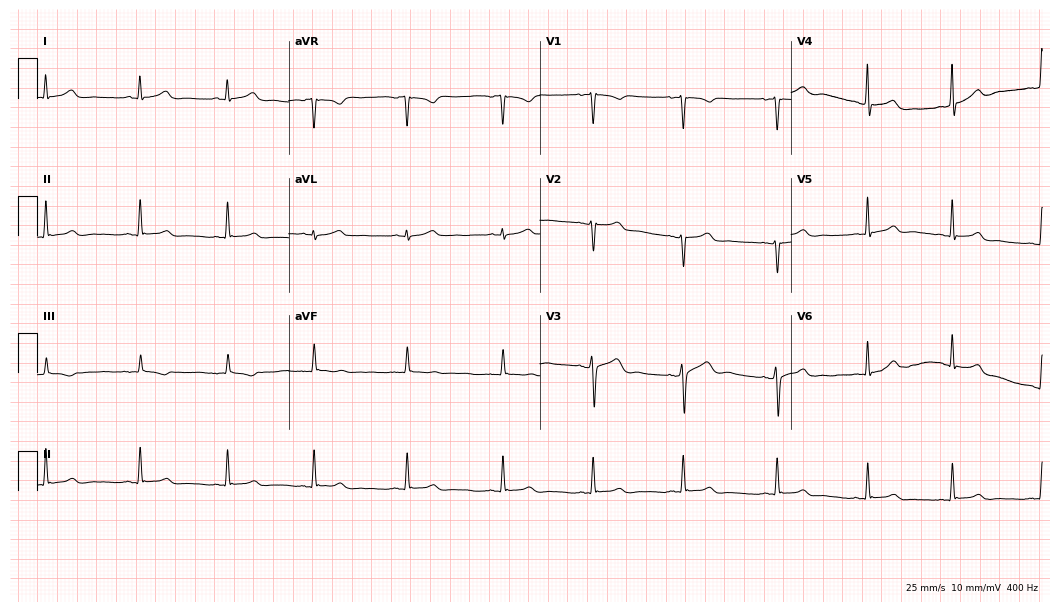
12-lead ECG from a female patient, 24 years old (10.2-second recording at 400 Hz). Recorded interpretation: within normal limits.